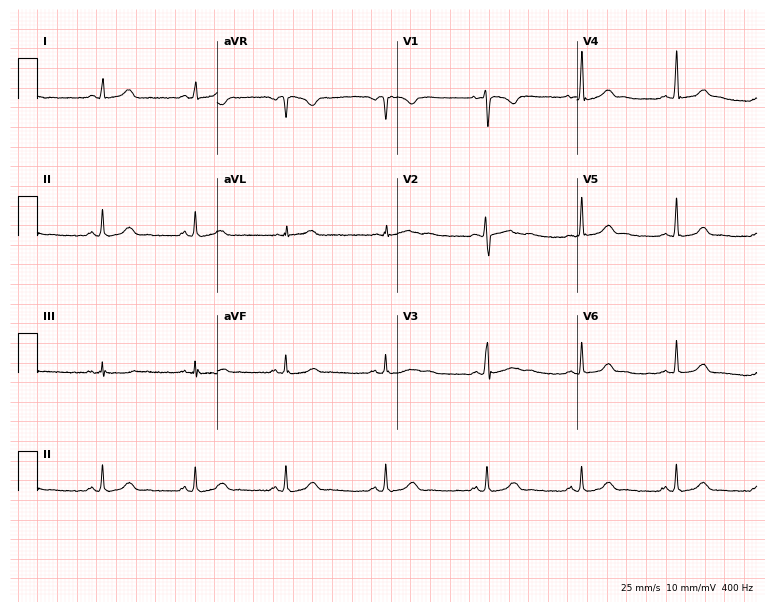
12-lead ECG (7.3-second recording at 400 Hz) from a female patient, 26 years old. Labelled as a normal ECG.